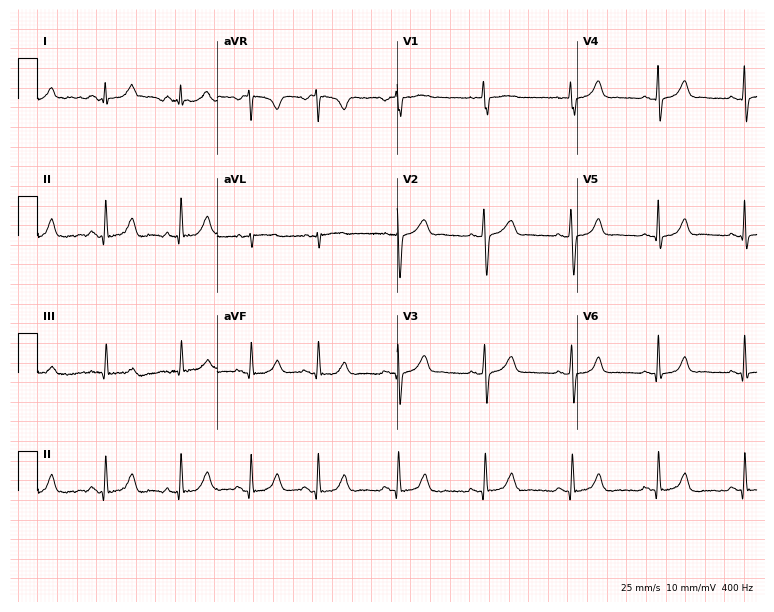
Resting 12-lead electrocardiogram. Patient: a female, 23 years old. Read as a normal ECG.